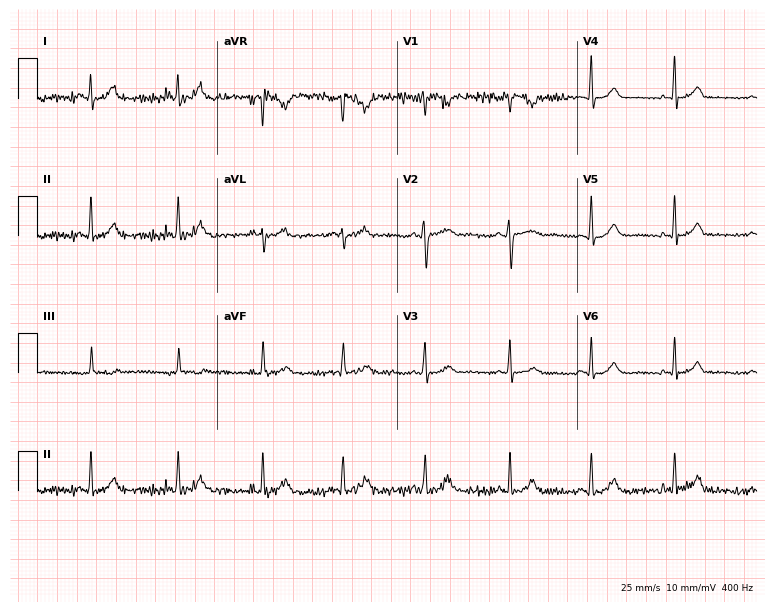
ECG (7.3-second recording at 400 Hz) — a woman, 33 years old. Screened for six findings — first-degree AV block, right bundle branch block, left bundle branch block, sinus bradycardia, atrial fibrillation, sinus tachycardia — none is recorded. Only these six findings were labelled.